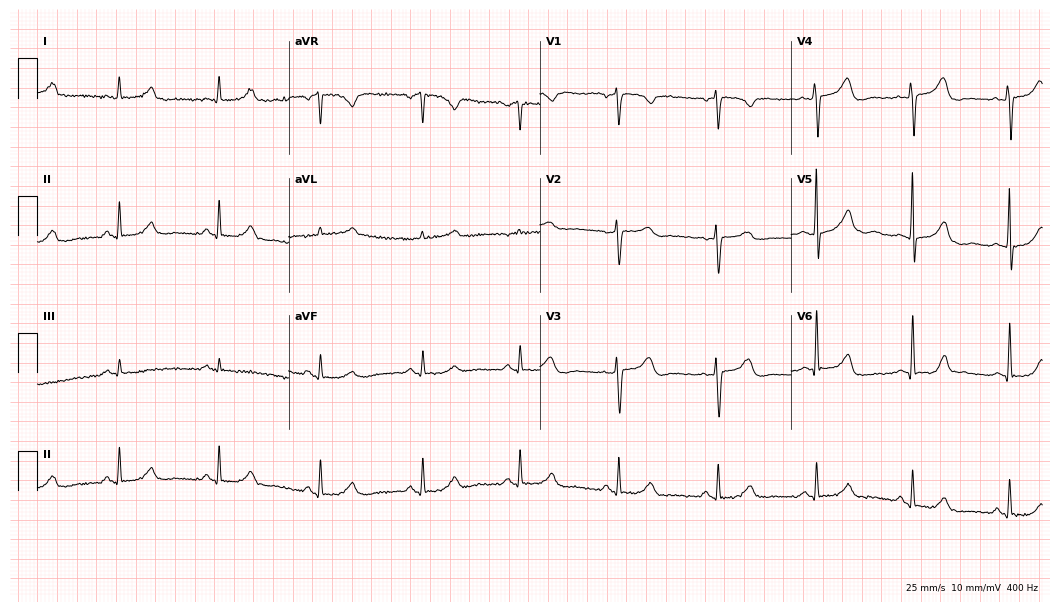
Electrocardiogram, a 67-year-old female. Of the six screened findings (first-degree AV block, right bundle branch block, left bundle branch block, sinus bradycardia, atrial fibrillation, sinus tachycardia), none is recorded. Findings outside these six are not listed.